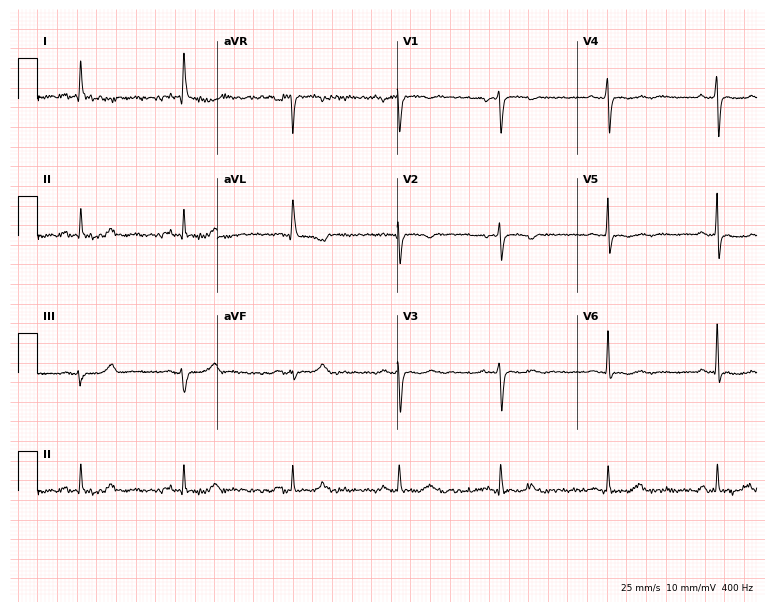
Electrocardiogram, an 80-year-old woman. Of the six screened findings (first-degree AV block, right bundle branch block (RBBB), left bundle branch block (LBBB), sinus bradycardia, atrial fibrillation (AF), sinus tachycardia), none is recorded.